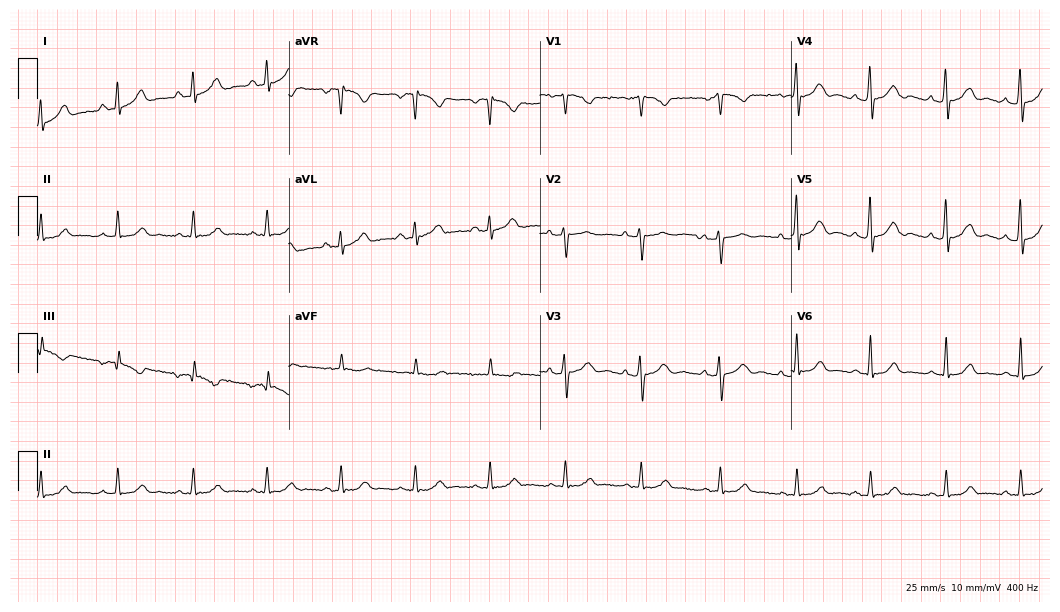
12-lead ECG from a female patient, 29 years old. Screened for six findings — first-degree AV block, right bundle branch block (RBBB), left bundle branch block (LBBB), sinus bradycardia, atrial fibrillation (AF), sinus tachycardia — none is recorded.